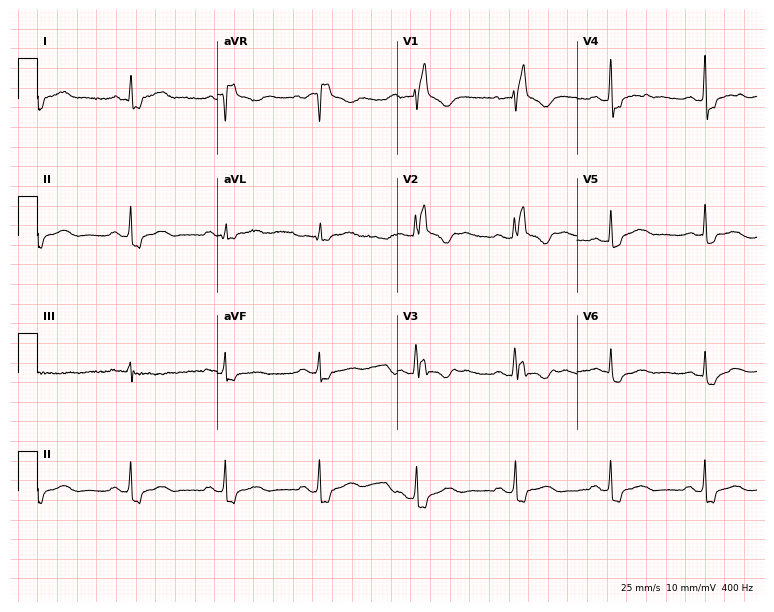
Electrocardiogram (7.3-second recording at 400 Hz), a female, 47 years old. Interpretation includes right bundle branch block (RBBB).